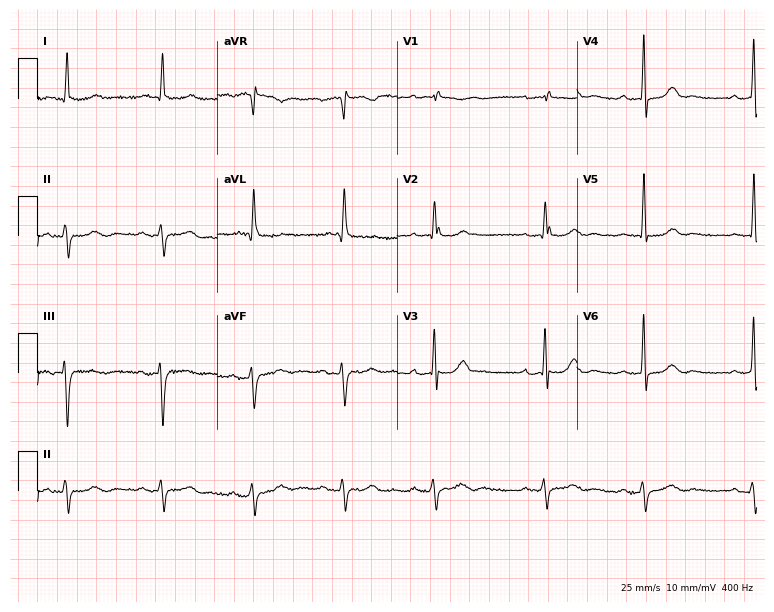
12-lead ECG from an 81-year-old female. Screened for six findings — first-degree AV block, right bundle branch block (RBBB), left bundle branch block (LBBB), sinus bradycardia, atrial fibrillation (AF), sinus tachycardia — none is recorded.